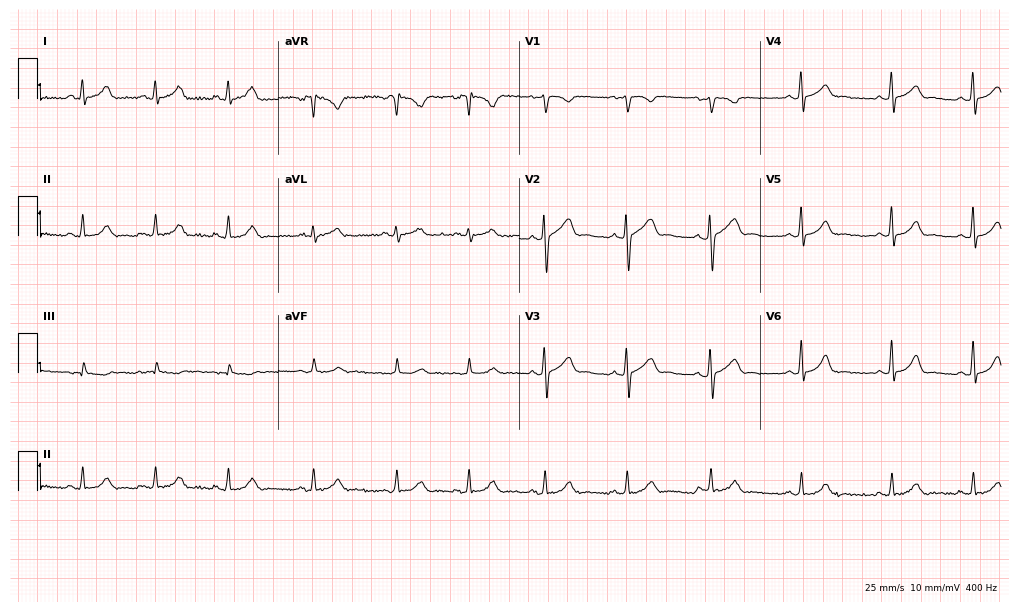
Electrocardiogram (9.8-second recording at 400 Hz), a 27-year-old man. Overall reading on record: normal ECG.